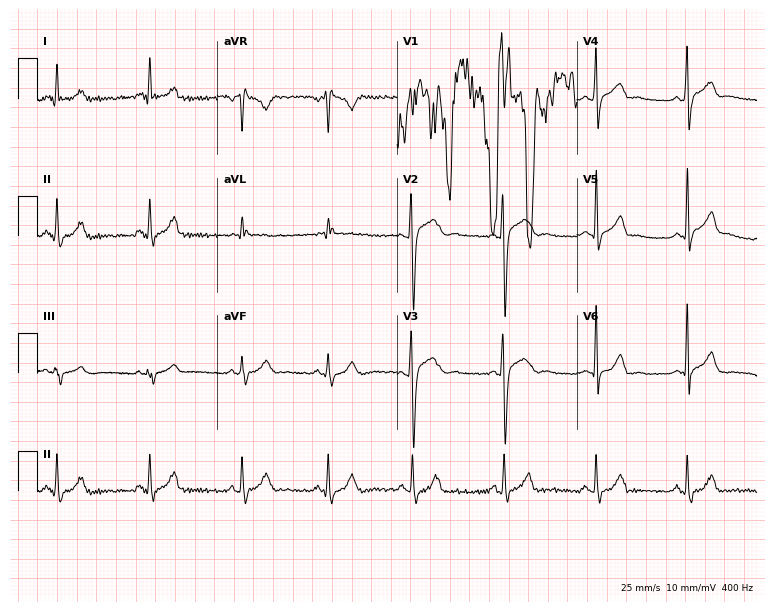
12-lead ECG from a male patient, 33 years old. Screened for six findings — first-degree AV block, right bundle branch block, left bundle branch block, sinus bradycardia, atrial fibrillation, sinus tachycardia — none is recorded.